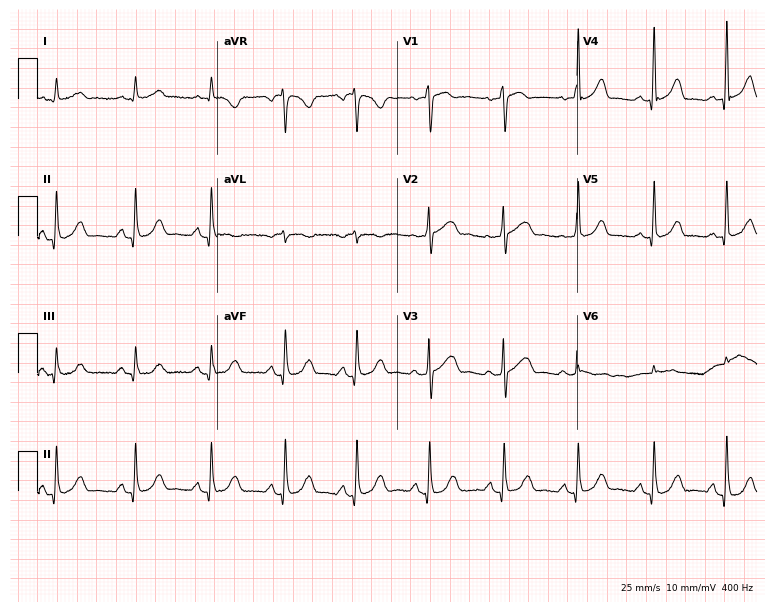
12-lead ECG from a 70-year-old female (7.3-second recording at 400 Hz). Recorded interpretation: within normal limits.